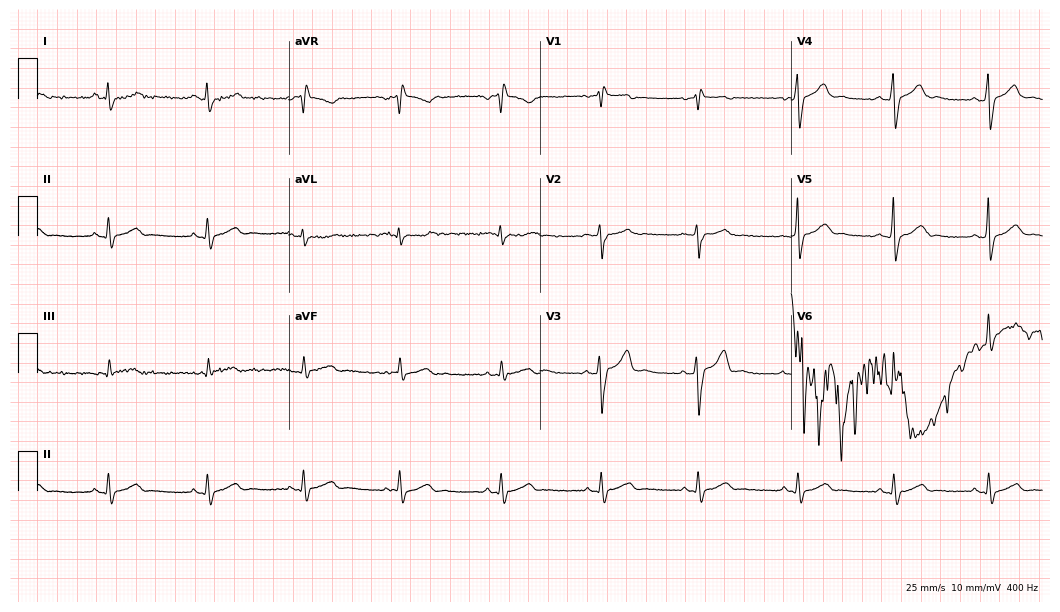
12-lead ECG from a 21-year-old male. Screened for six findings — first-degree AV block, right bundle branch block, left bundle branch block, sinus bradycardia, atrial fibrillation, sinus tachycardia — none is recorded. Only these six findings were labelled.